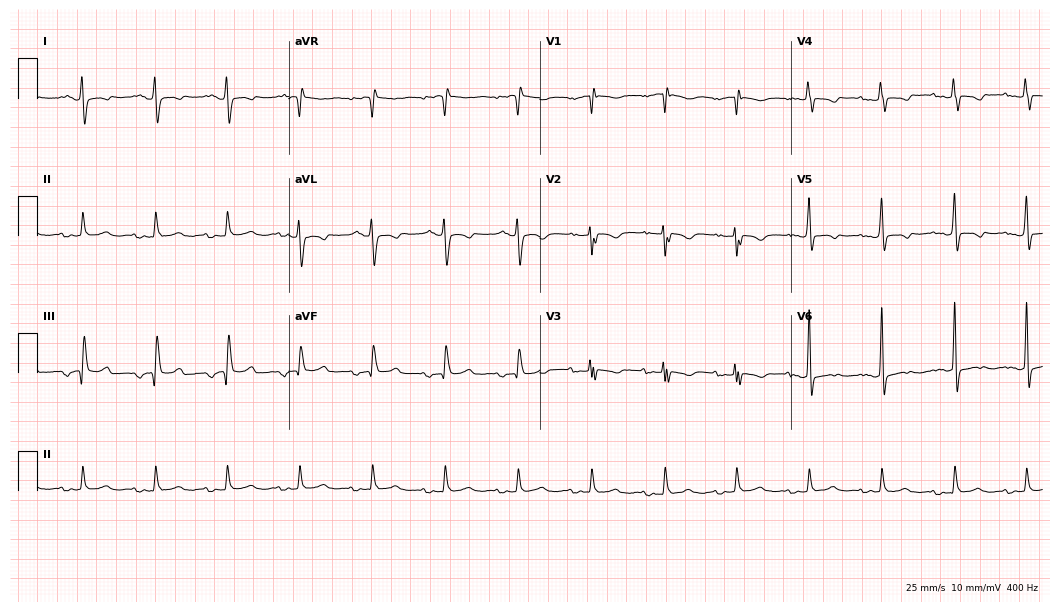
Electrocardiogram (10.2-second recording at 400 Hz), a 22-year-old woman. Of the six screened findings (first-degree AV block, right bundle branch block, left bundle branch block, sinus bradycardia, atrial fibrillation, sinus tachycardia), none is recorded.